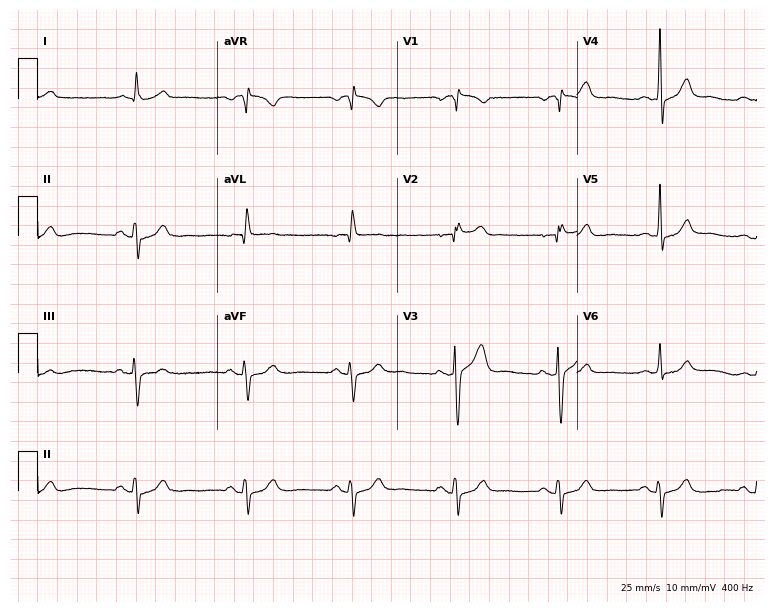
Resting 12-lead electrocardiogram. Patient: a 53-year-old man. None of these six findings is recorded: first-degree AV block, right bundle branch block, left bundle branch block, sinus bradycardia, atrial fibrillation, sinus tachycardia.